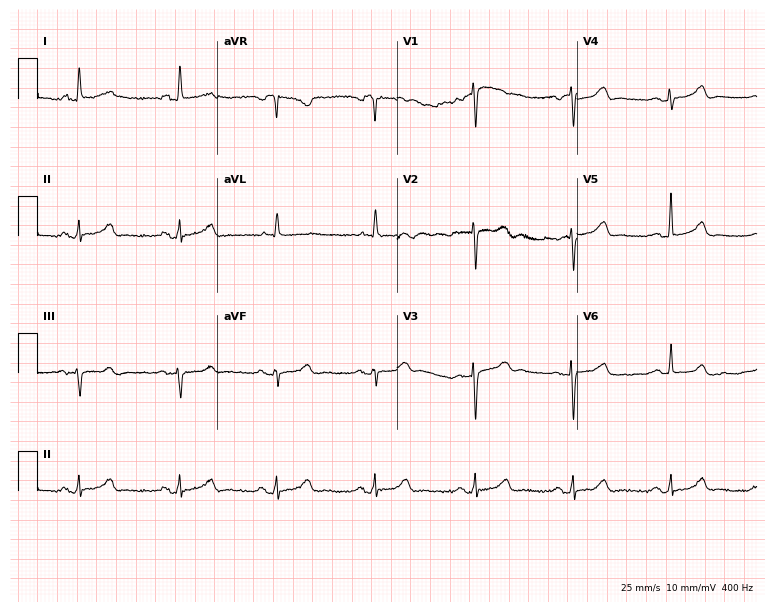
Electrocardiogram (7.3-second recording at 400 Hz), an 82-year-old female patient. Overall reading on record: normal ECG.